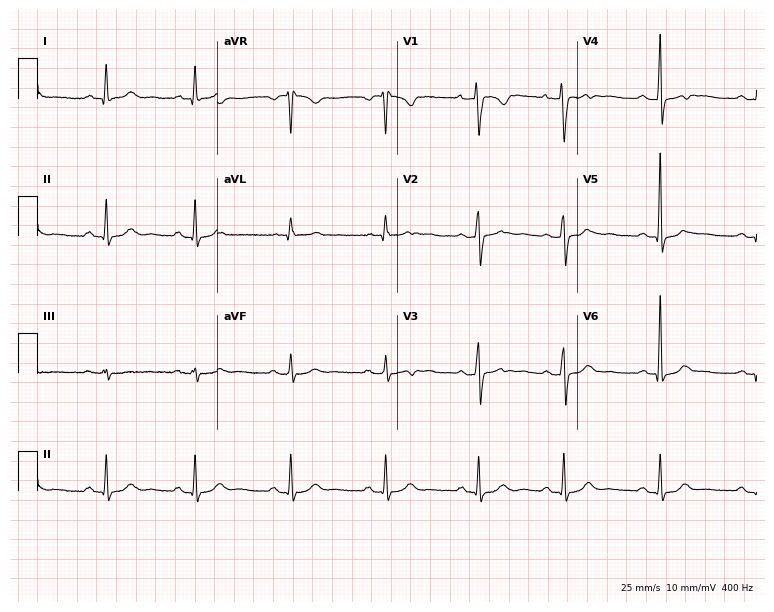
12-lead ECG from a female, 35 years old. Screened for six findings — first-degree AV block, right bundle branch block, left bundle branch block, sinus bradycardia, atrial fibrillation, sinus tachycardia — none is recorded.